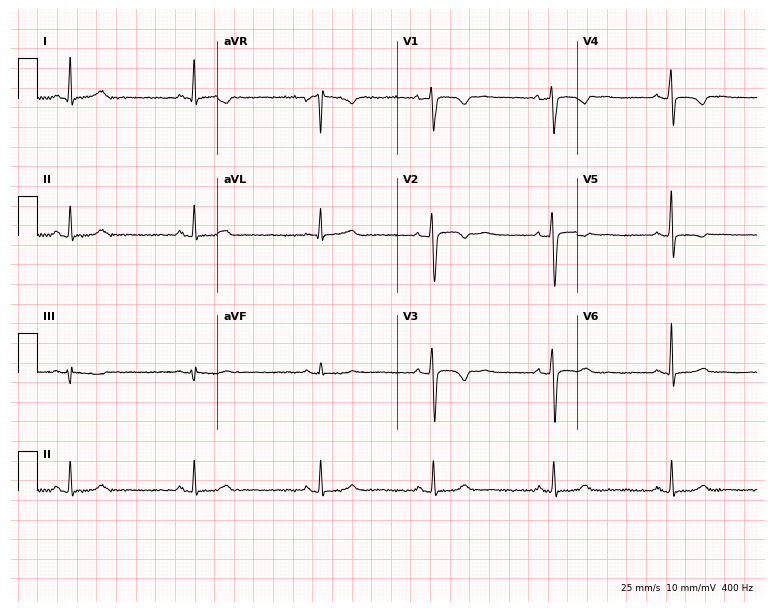
12-lead ECG (7.3-second recording at 400 Hz) from a 35-year-old female patient. Screened for six findings — first-degree AV block, right bundle branch block, left bundle branch block, sinus bradycardia, atrial fibrillation, sinus tachycardia — none is recorded.